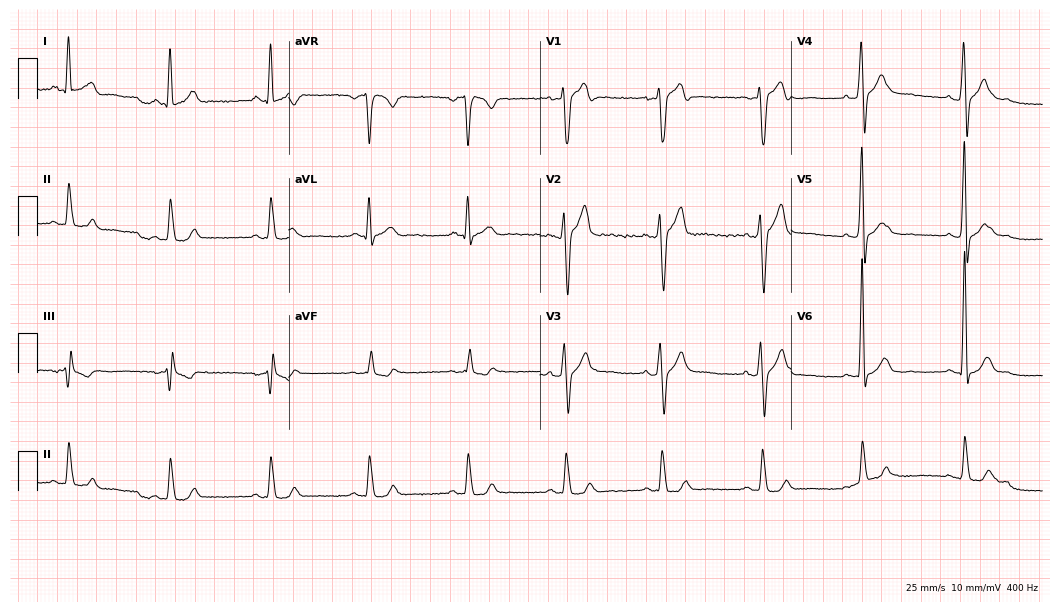
12-lead ECG from a 46-year-old male (10.2-second recording at 400 Hz). No first-degree AV block, right bundle branch block, left bundle branch block, sinus bradycardia, atrial fibrillation or sinus tachycardia recorded for this tracing.